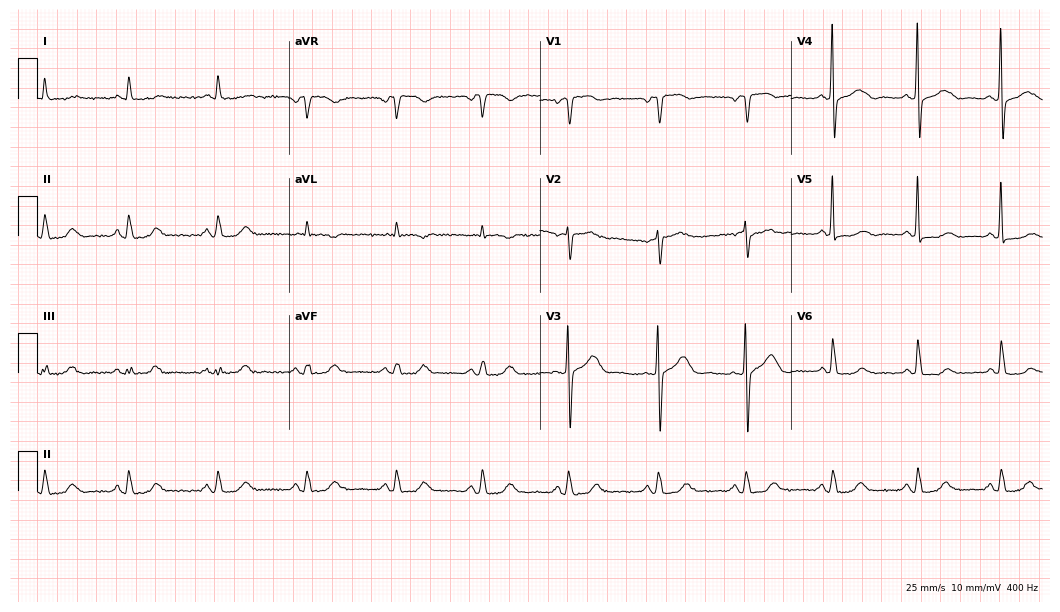
12-lead ECG from a female, 74 years old. Screened for six findings — first-degree AV block, right bundle branch block, left bundle branch block, sinus bradycardia, atrial fibrillation, sinus tachycardia — none is recorded. Findings outside these six are not listed.